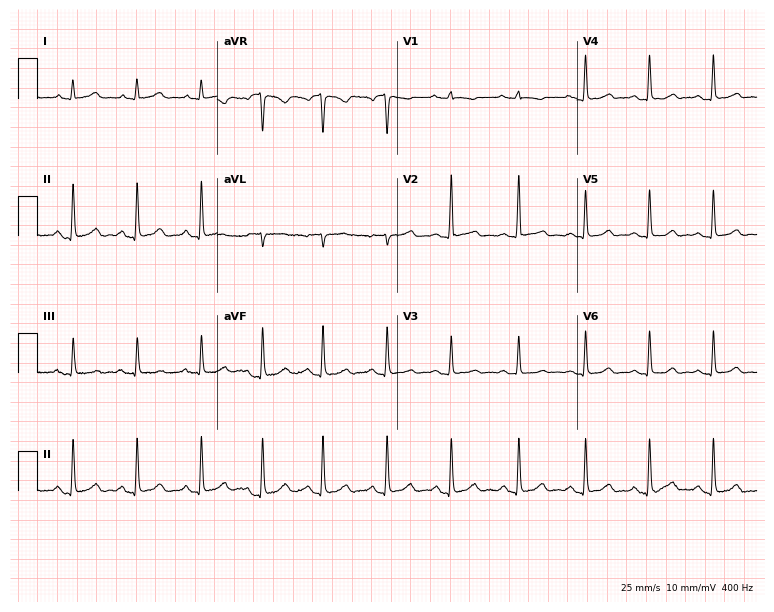
Standard 12-lead ECG recorded from a female patient, 25 years old. Read as a normal ECG.